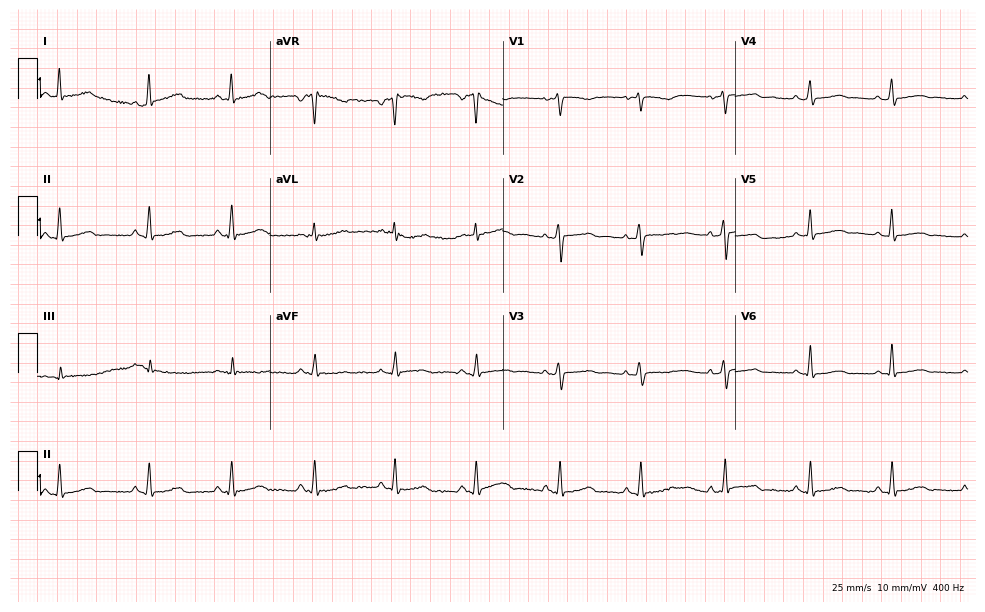
Resting 12-lead electrocardiogram. Patient: a 41-year-old female. Read as a normal ECG.